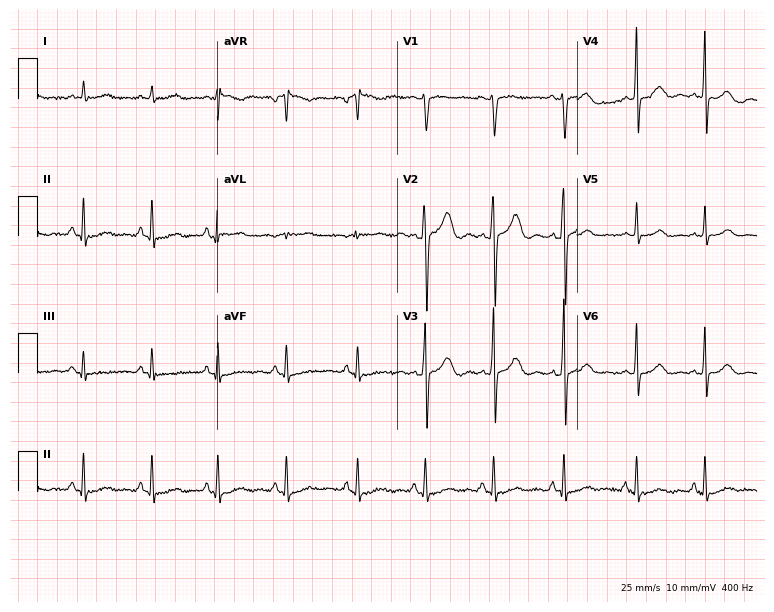
Electrocardiogram (7.3-second recording at 400 Hz), a 50-year-old female. Of the six screened findings (first-degree AV block, right bundle branch block (RBBB), left bundle branch block (LBBB), sinus bradycardia, atrial fibrillation (AF), sinus tachycardia), none is recorded.